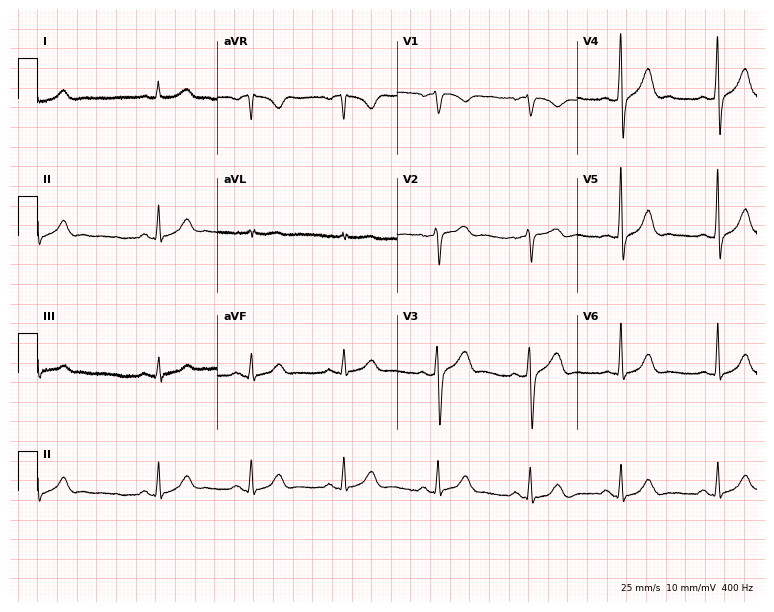
12-lead ECG from a male, 59 years old. Recorded interpretation: within normal limits.